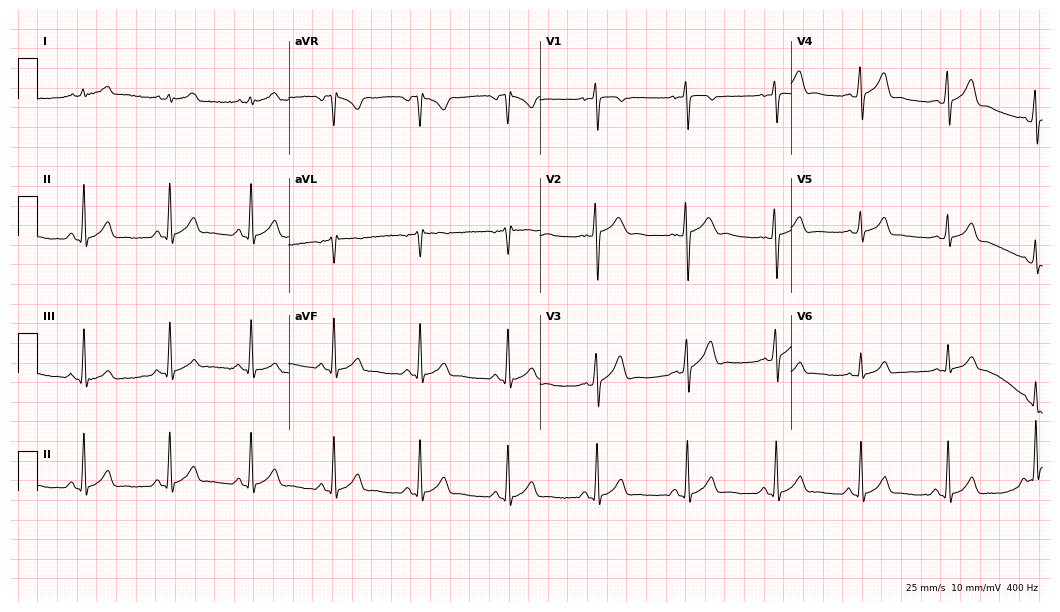
12-lead ECG (10.2-second recording at 400 Hz) from an 18-year-old male patient. Labelled as a normal ECG.